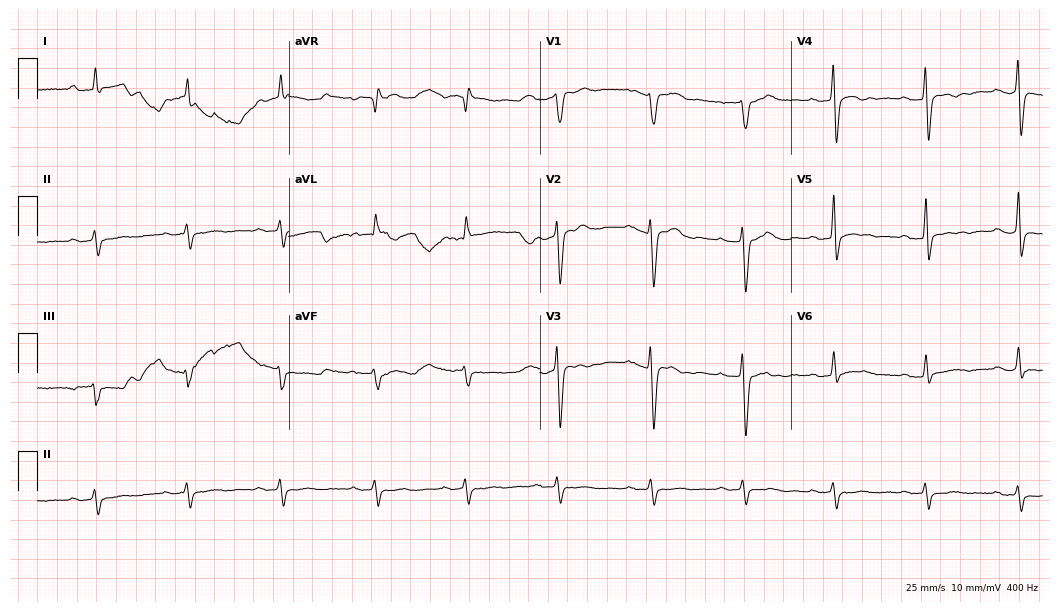
Electrocardiogram (10.2-second recording at 400 Hz), a man, 57 years old. Of the six screened findings (first-degree AV block, right bundle branch block (RBBB), left bundle branch block (LBBB), sinus bradycardia, atrial fibrillation (AF), sinus tachycardia), none is recorded.